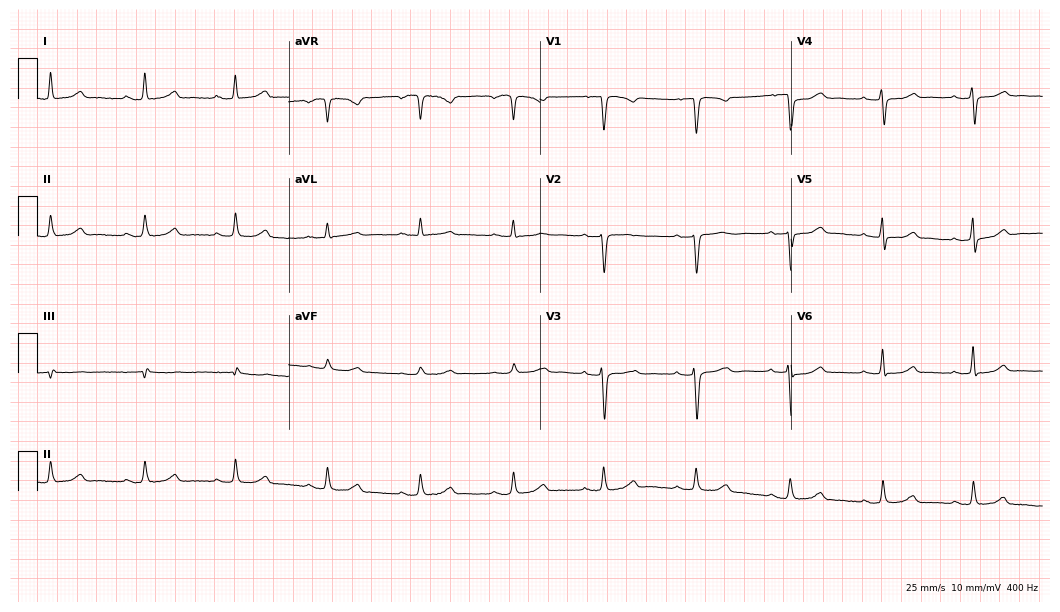
Resting 12-lead electrocardiogram. Patient: a female, 45 years old. None of these six findings is recorded: first-degree AV block, right bundle branch block, left bundle branch block, sinus bradycardia, atrial fibrillation, sinus tachycardia.